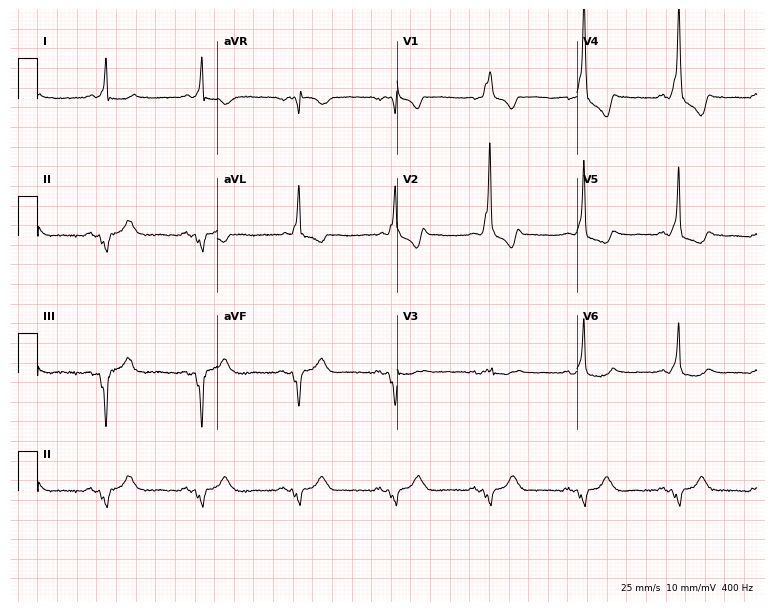
ECG — a male, 58 years old. Screened for six findings — first-degree AV block, right bundle branch block, left bundle branch block, sinus bradycardia, atrial fibrillation, sinus tachycardia — none is recorded.